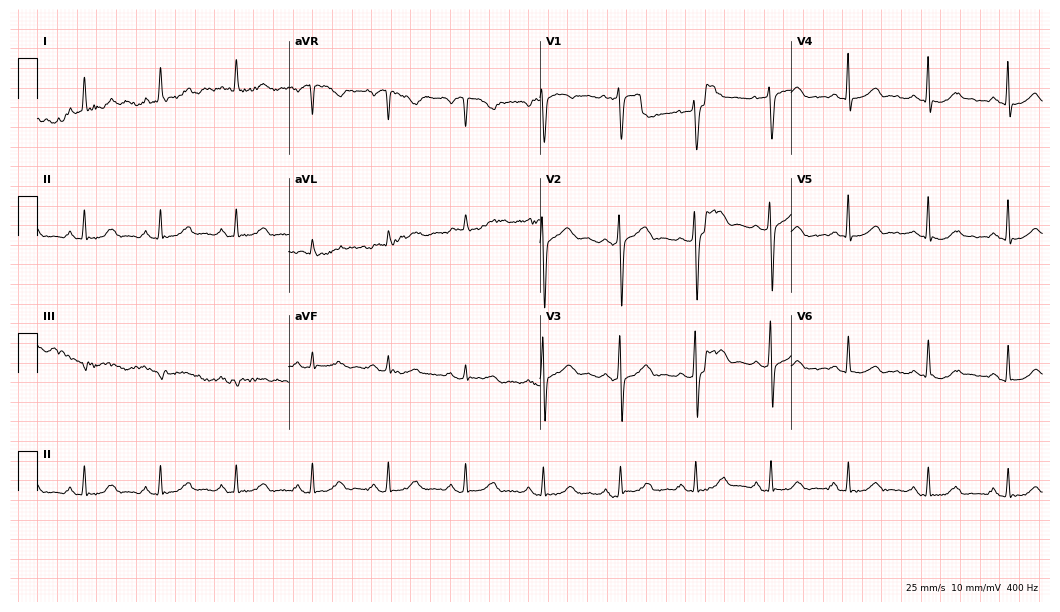
12-lead ECG from a 56-year-old female. Recorded interpretation: within normal limits.